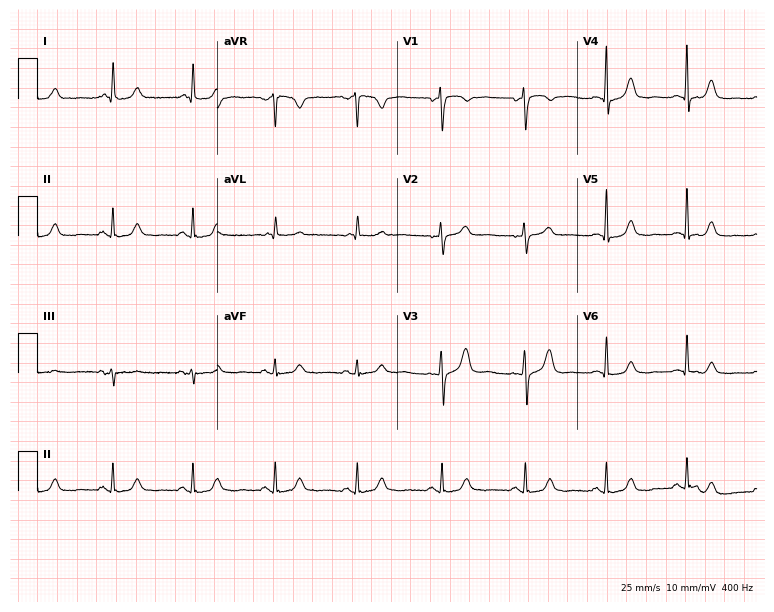
Resting 12-lead electrocardiogram (7.3-second recording at 400 Hz). Patient: a 61-year-old woman. Read as a normal ECG.